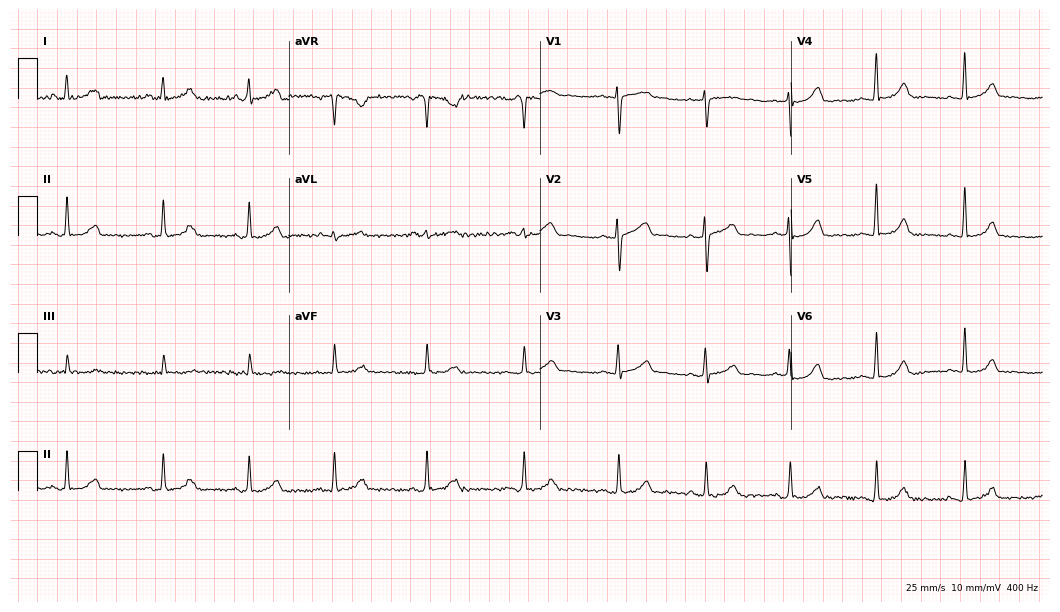
Electrocardiogram, a female, 36 years old. Overall reading on record: normal ECG.